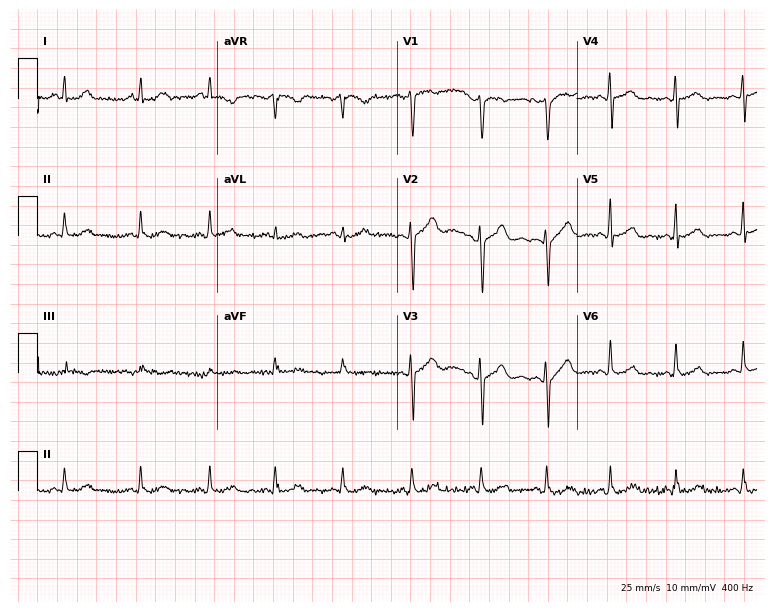
12-lead ECG from a woman, 29 years old. Screened for six findings — first-degree AV block, right bundle branch block (RBBB), left bundle branch block (LBBB), sinus bradycardia, atrial fibrillation (AF), sinus tachycardia — none is recorded. Only these six findings were labelled.